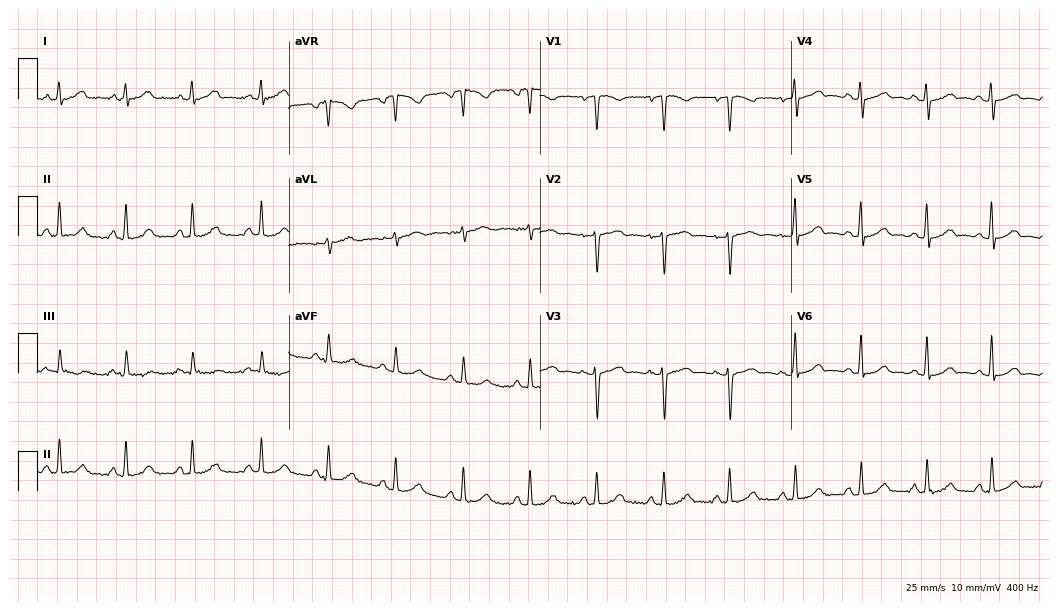
Standard 12-lead ECG recorded from a 33-year-old female. None of these six findings is recorded: first-degree AV block, right bundle branch block, left bundle branch block, sinus bradycardia, atrial fibrillation, sinus tachycardia. Only these six findings were labelled.